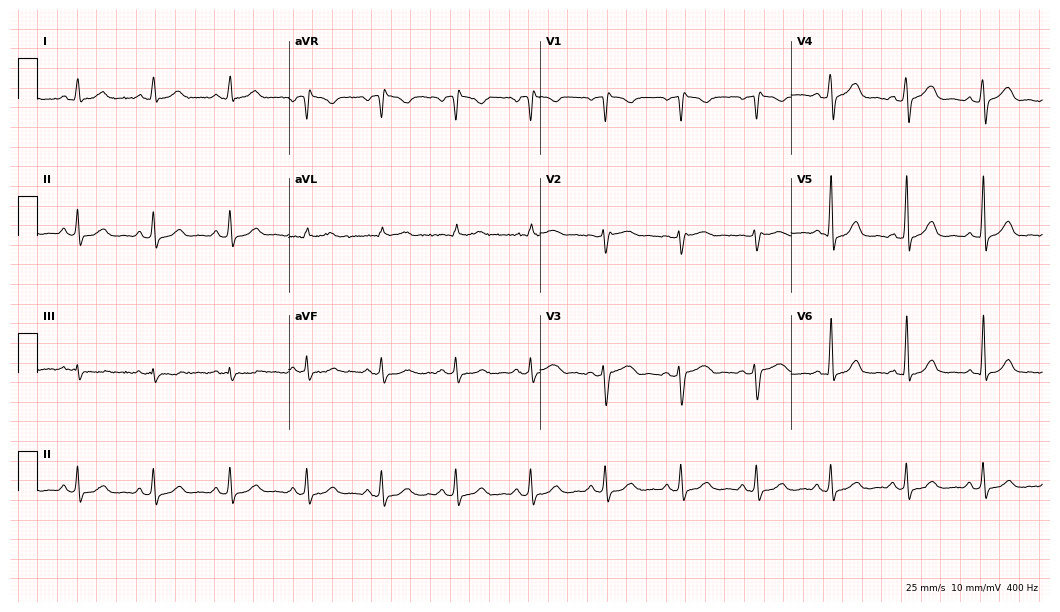
12-lead ECG (10.2-second recording at 400 Hz) from a 45-year-old female patient. Screened for six findings — first-degree AV block, right bundle branch block (RBBB), left bundle branch block (LBBB), sinus bradycardia, atrial fibrillation (AF), sinus tachycardia — none is recorded.